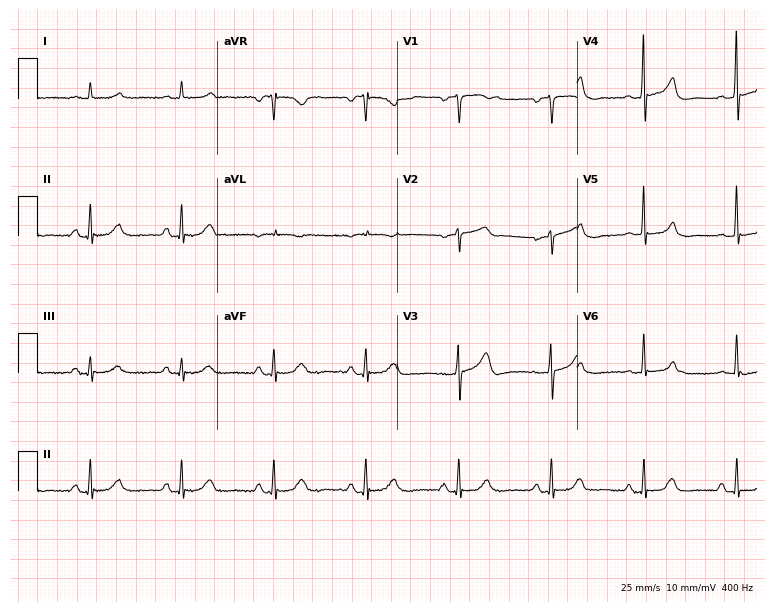
ECG — a 78-year-old male. Labelled as a normal ECG.